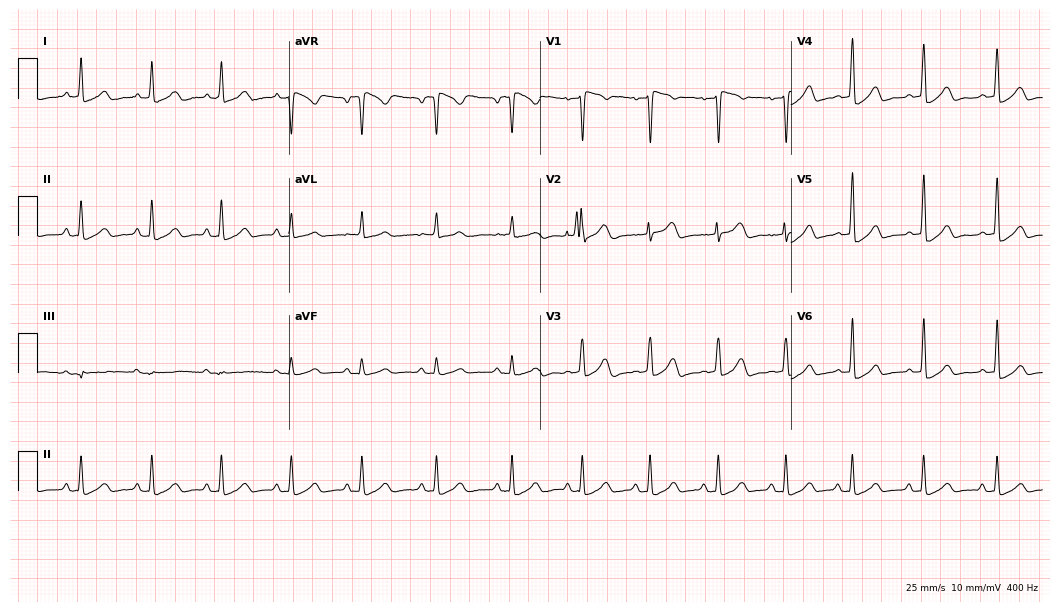
Resting 12-lead electrocardiogram. Patient: a 41-year-old woman. Read as a normal ECG.